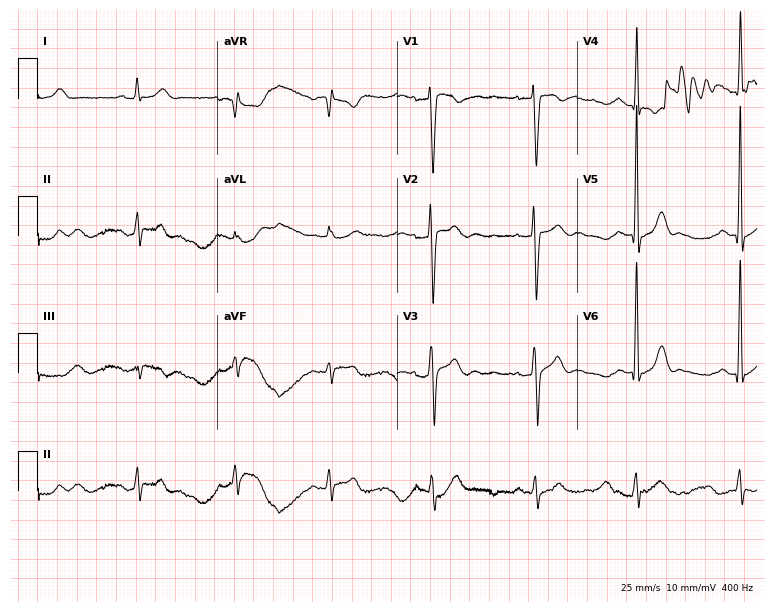
Electrocardiogram, a man, 31 years old. Of the six screened findings (first-degree AV block, right bundle branch block (RBBB), left bundle branch block (LBBB), sinus bradycardia, atrial fibrillation (AF), sinus tachycardia), none is recorded.